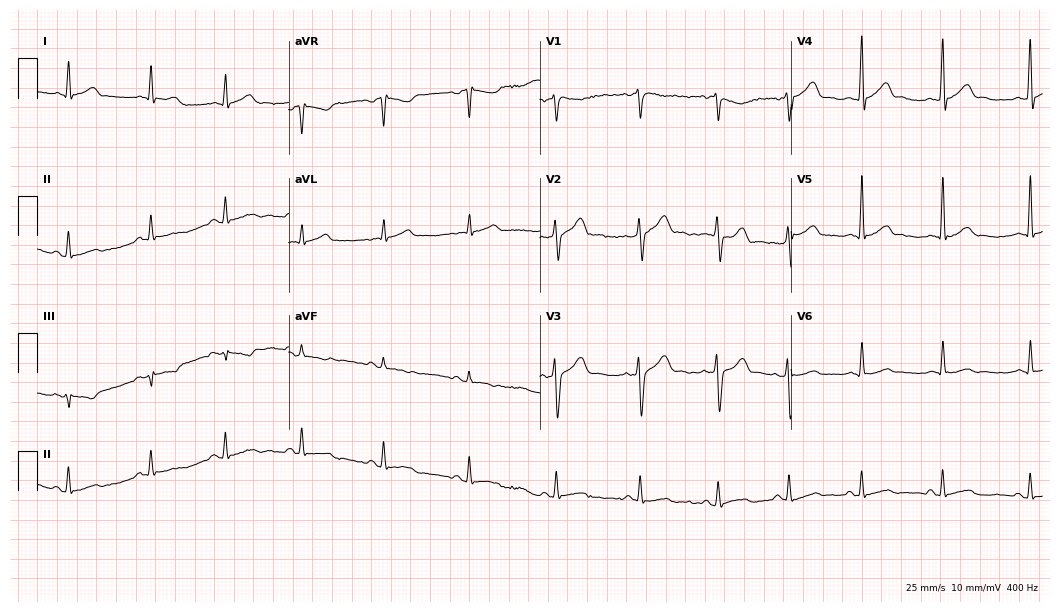
12-lead ECG from a 30-year-old man. Labelled as a normal ECG.